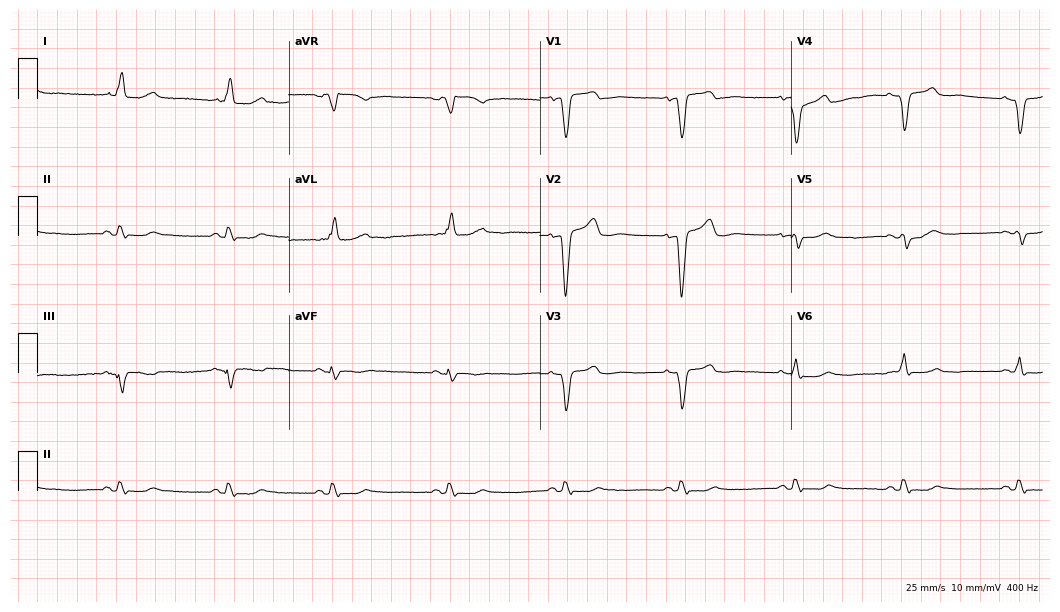
Standard 12-lead ECG recorded from a 79-year-old female patient. The tracing shows left bundle branch block (LBBB).